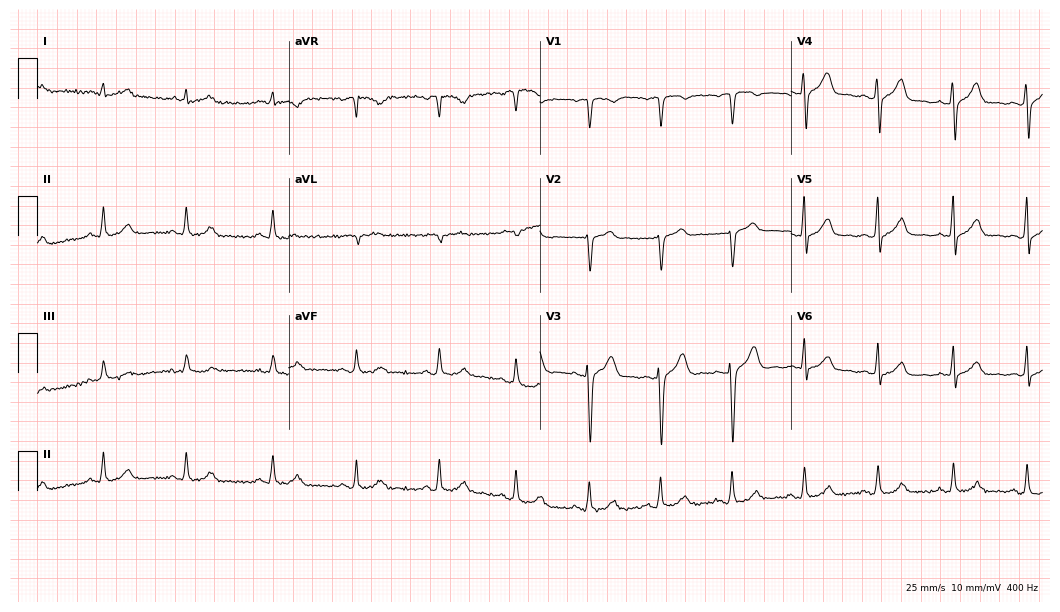
12-lead ECG (10.2-second recording at 400 Hz) from a 66-year-old male. Labelled as a normal ECG.